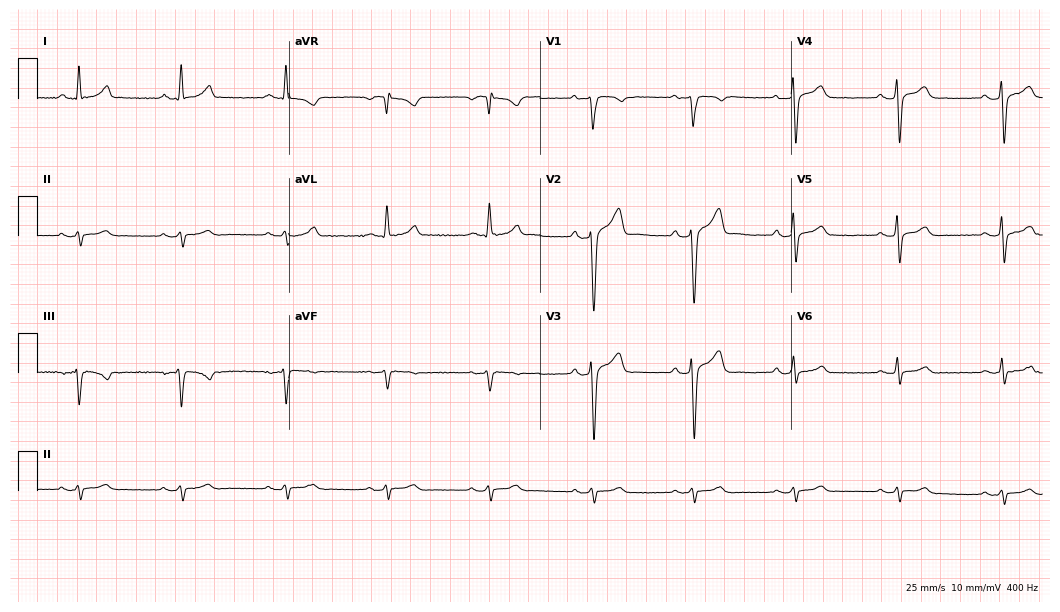
Standard 12-lead ECG recorded from a male patient, 50 years old. Read as a normal ECG.